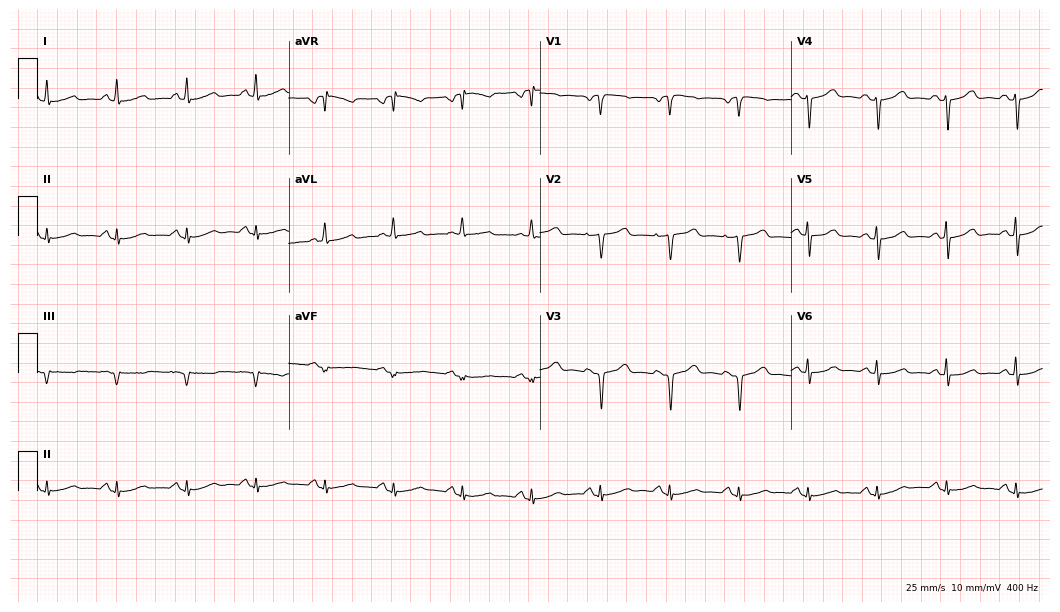
Resting 12-lead electrocardiogram. Patient: a 76-year-old female. None of these six findings is recorded: first-degree AV block, right bundle branch block, left bundle branch block, sinus bradycardia, atrial fibrillation, sinus tachycardia.